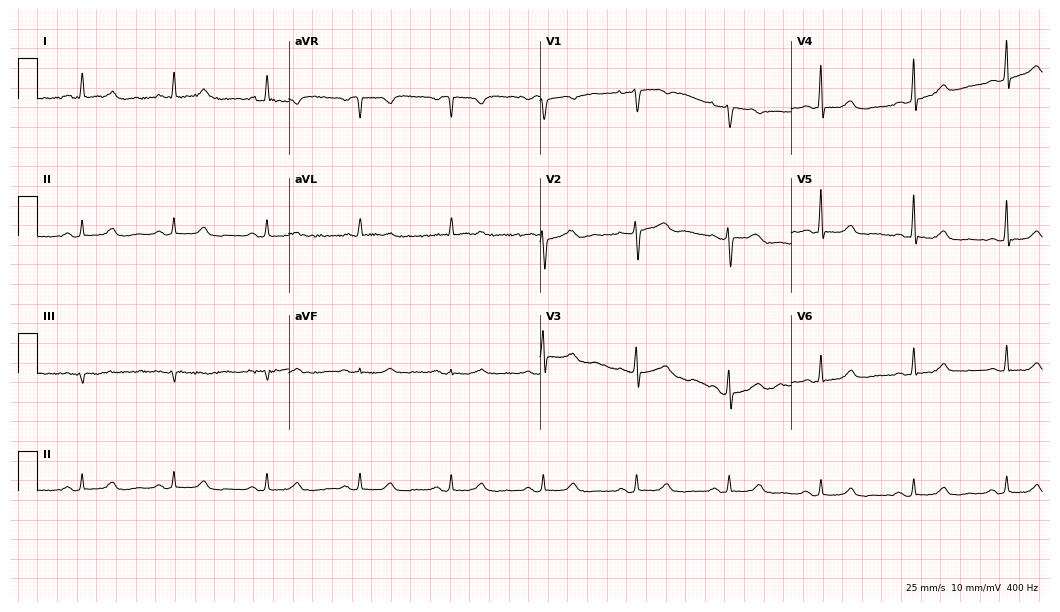
Resting 12-lead electrocardiogram (10.2-second recording at 400 Hz). Patient: a 55-year-old woman. Read as a normal ECG.